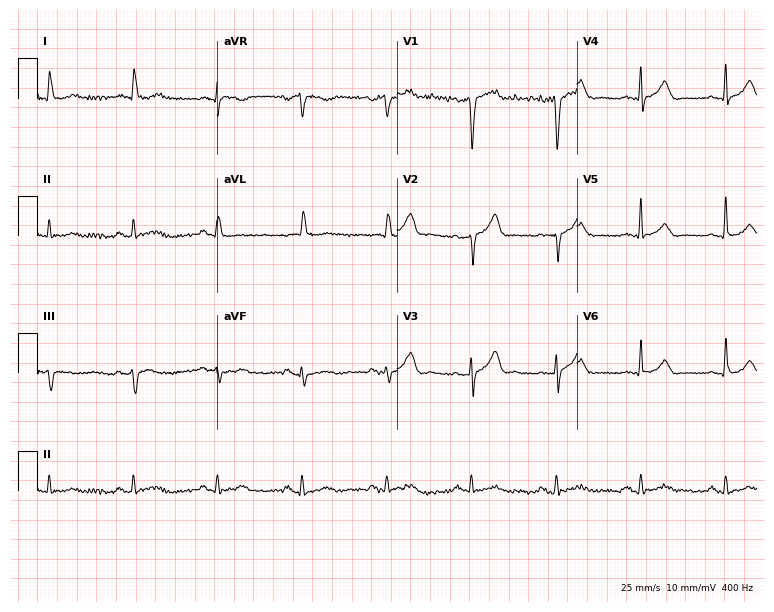
Resting 12-lead electrocardiogram (7.3-second recording at 400 Hz). Patient: a 76-year-old male. Read as a normal ECG.